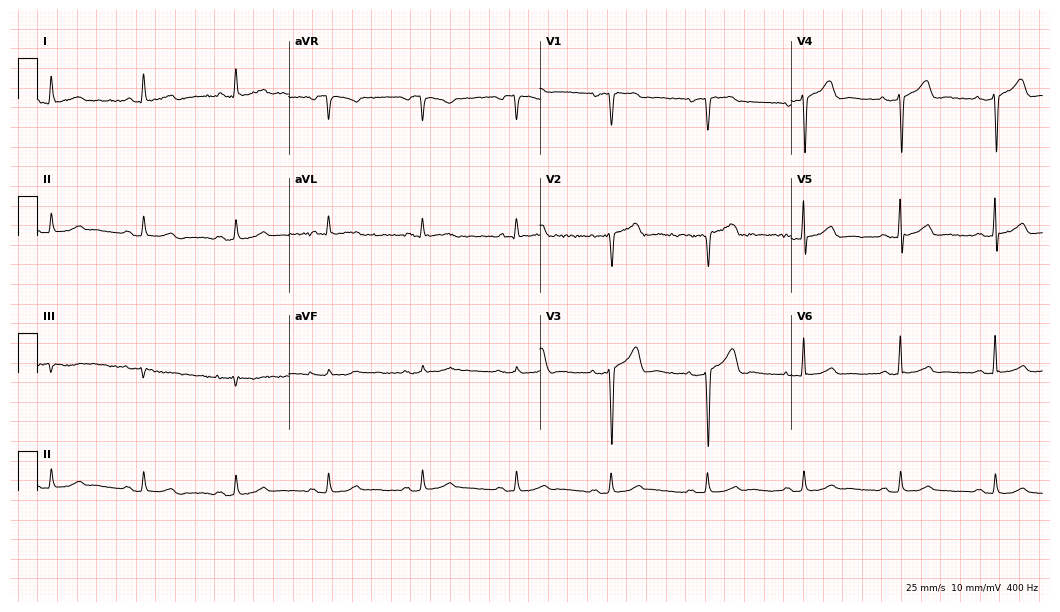
ECG — a 70-year-old female. Screened for six findings — first-degree AV block, right bundle branch block, left bundle branch block, sinus bradycardia, atrial fibrillation, sinus tachycardia — none is recorded. Only these six findings were labelled.